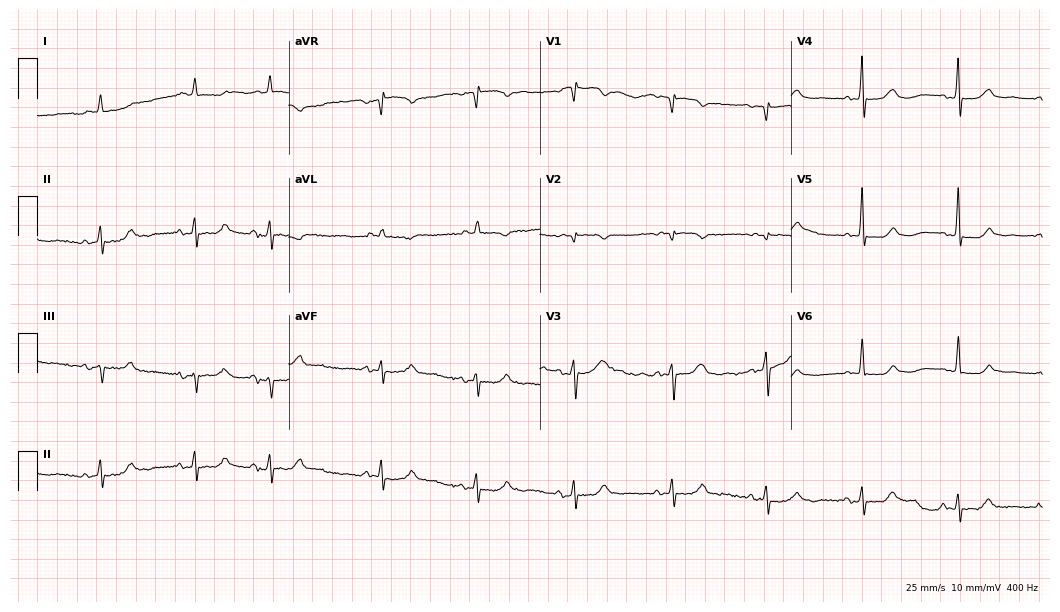
12-lead ECG (10.2-second recording at 400 Hz) from a man, 80 years old. Labelled as a normal ECG.